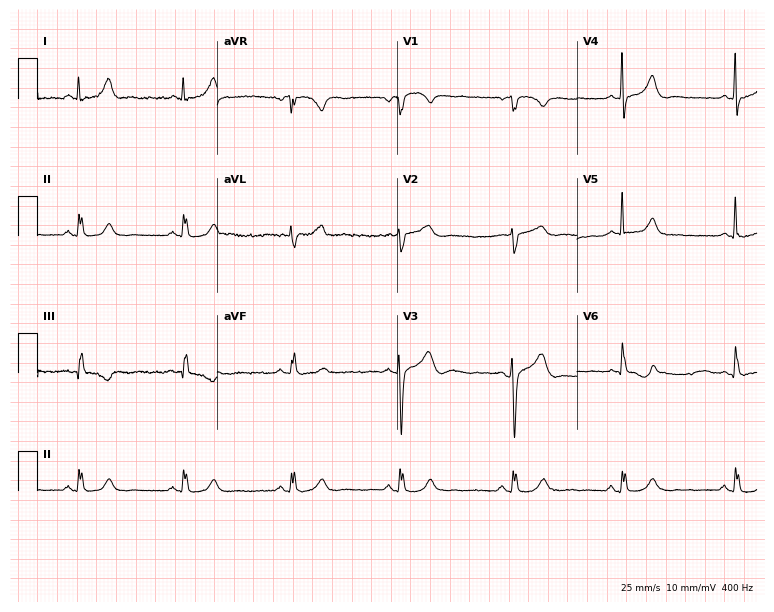
12-lead ECG (7.3-second recording at 400 Hz) from a 49-year-old woman. Screened for six findings — first-degree AV block, right bundle branch block (RBBB), left bundle branch block (LBBB), sinus bradycardia, atrial fibrillation (AF), sinus tachycardia — none is recorded. Only these six findings were labelled.